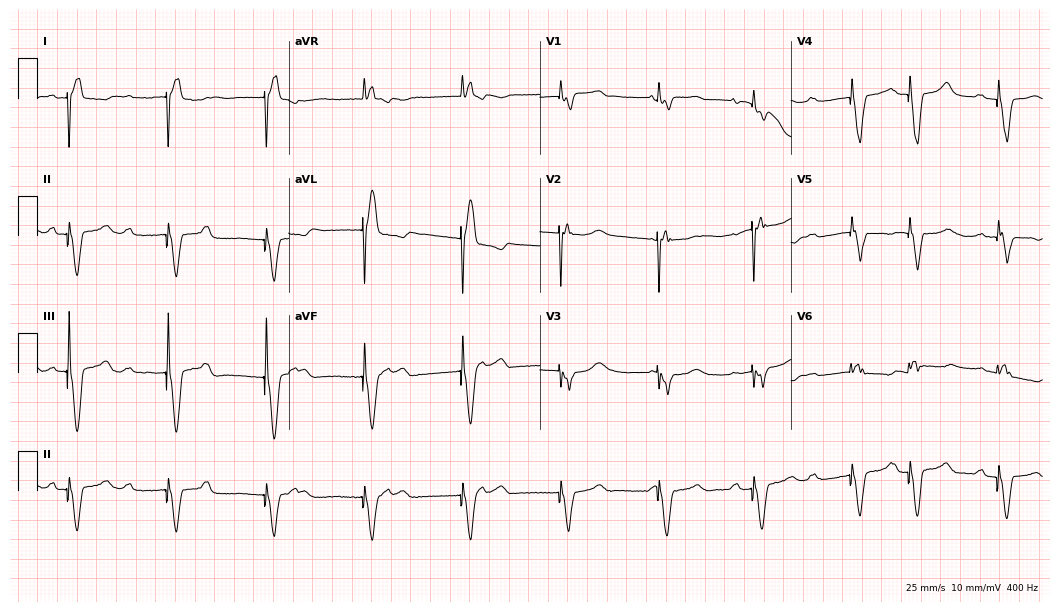
ECG — a 71-year-old female. Screened for six findings — first-degree AV block, right bundle branch block (RBBB), left bundle branch block (LBBB), sinus bradycardia, atrial fibrillation (AF), sinus tachycardia — none is recorded.